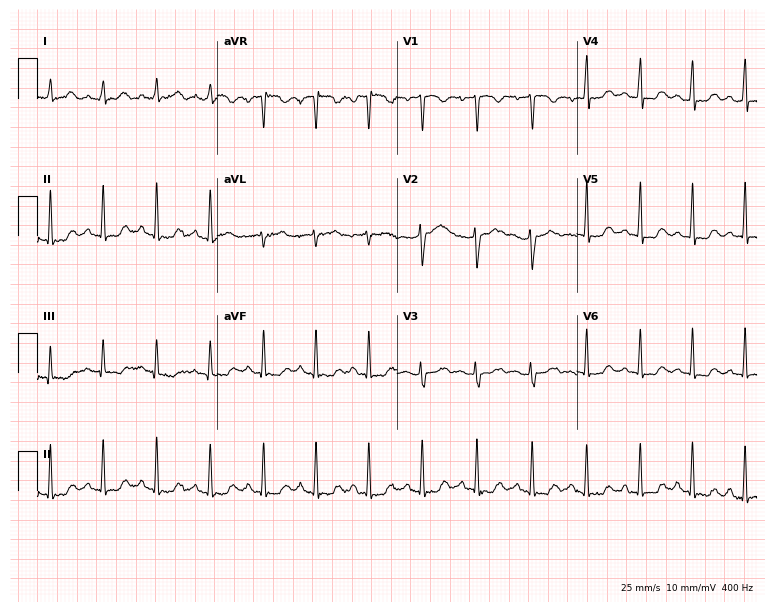
12-lead ECG from a 36-year-old woman. Screened for six findings — first-degree AV block, right bundle branch block, left bundle branch block, sinus bradycardia, atrial fibrillation, sinus tachycardia — none is recorded.